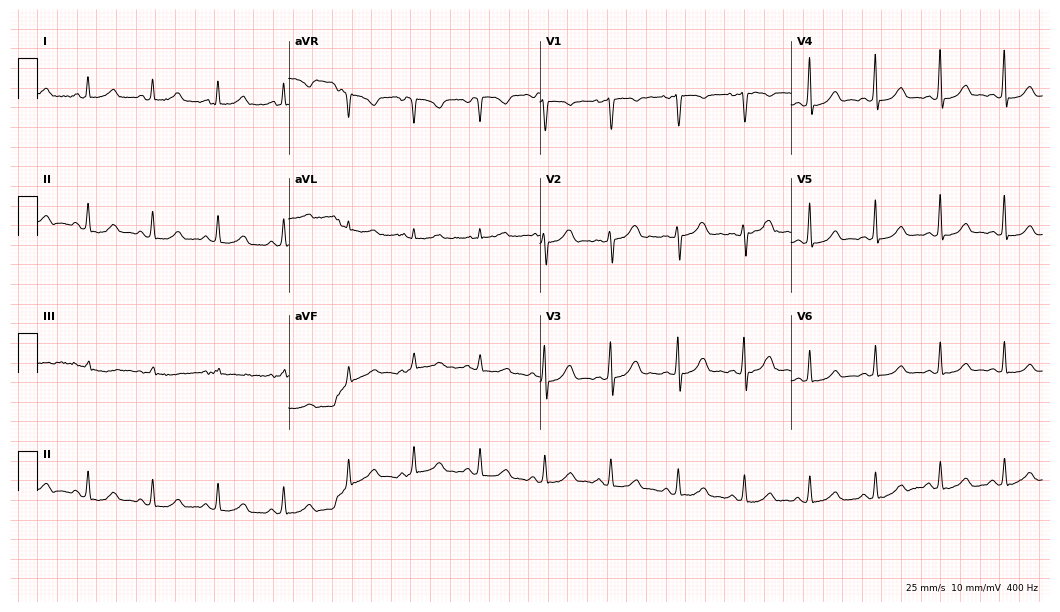
Electrocardiogram, a female, 29 years old. Overall reading on record: normal ECG.